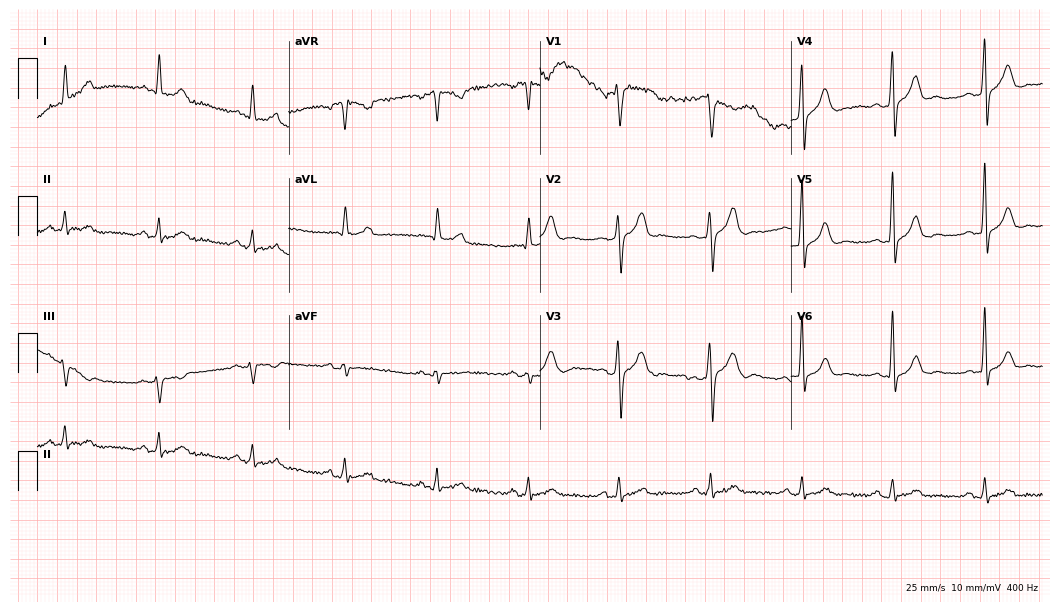
Standard 12-lead ECG recorded from a 52-year-old man (10.2-second recording at 400 Hz). None of these six findings is recorded: first-degree AV block, right bundle branch block, left bundle branch block, sinus bradycardia, atrial fibrillation, sinus tachycardia.